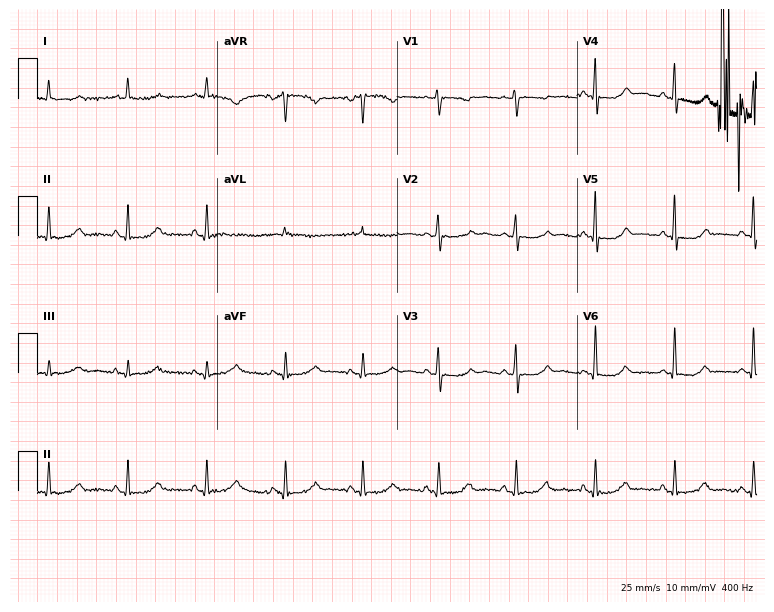
ECG — a 62-year-old woman. Labelled as a normal ECG.